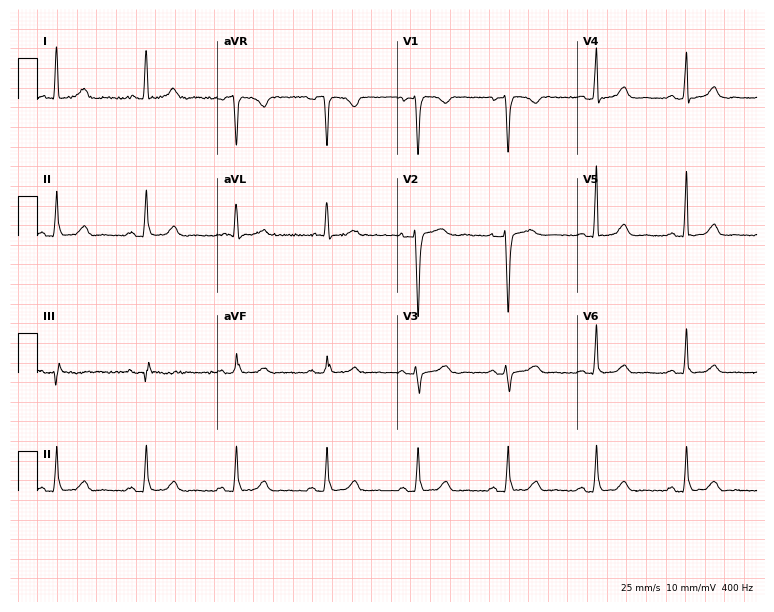
ECG (7.3-second recording at 400 Hz) — a 62-year-old woman. Labelled as a normal ECG.